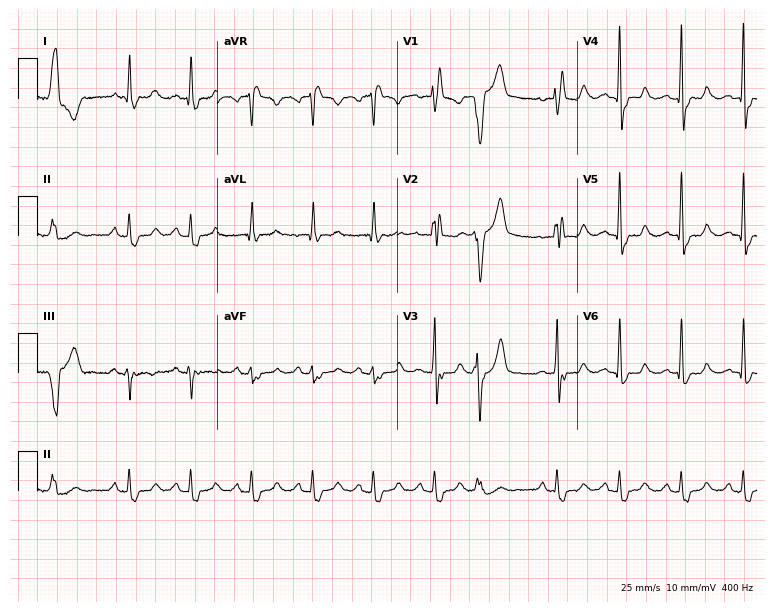
Electrocardiogram (7.3-second recording at 400 Hz), a 59-year-old female patient. Interpretation includes right bundle branch block.